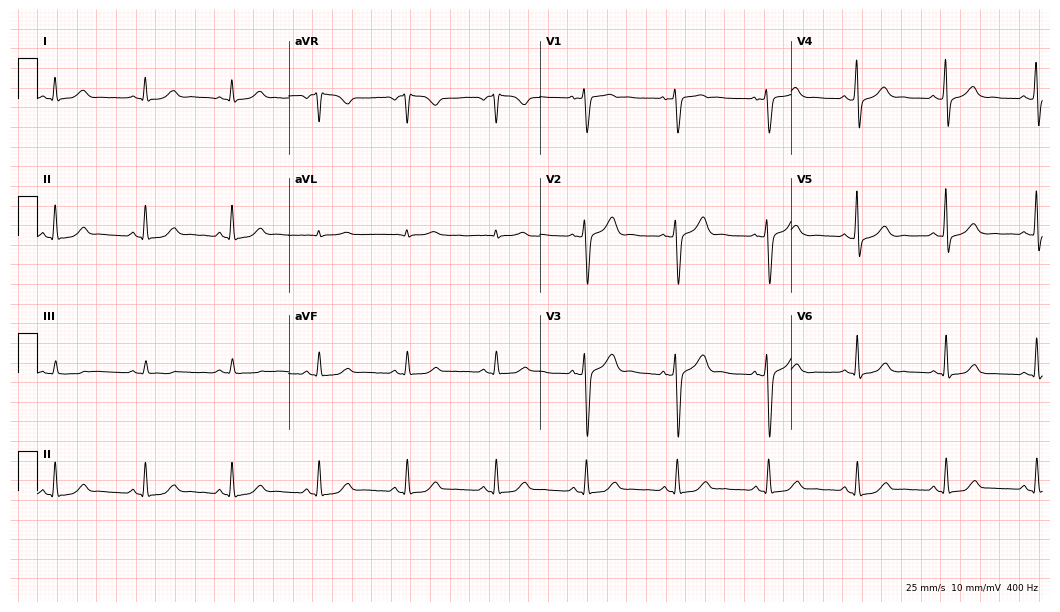
12-lead ECG from a female patient, 33 years old. Labelled as a normal ECG.